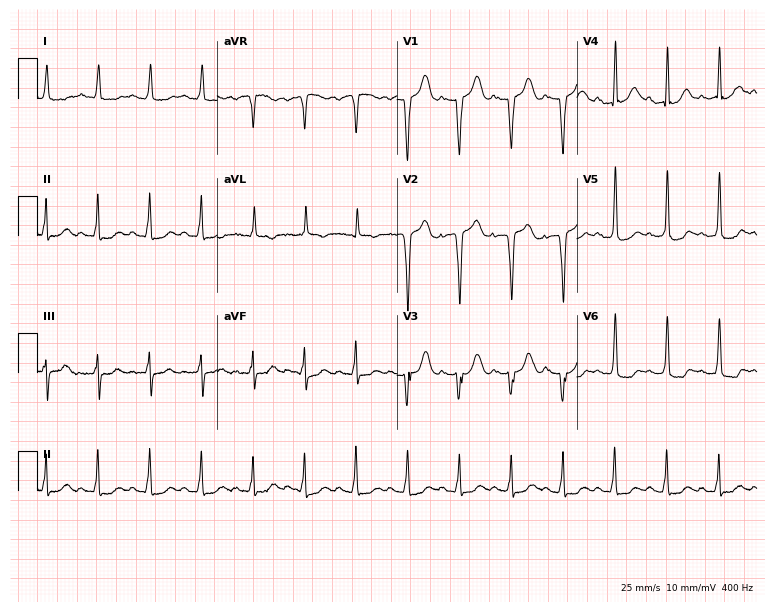
12-lead ECG from an 83-year-old female. Shows sinus tachycardia (a sinus rate of 100 beats per minute or more).